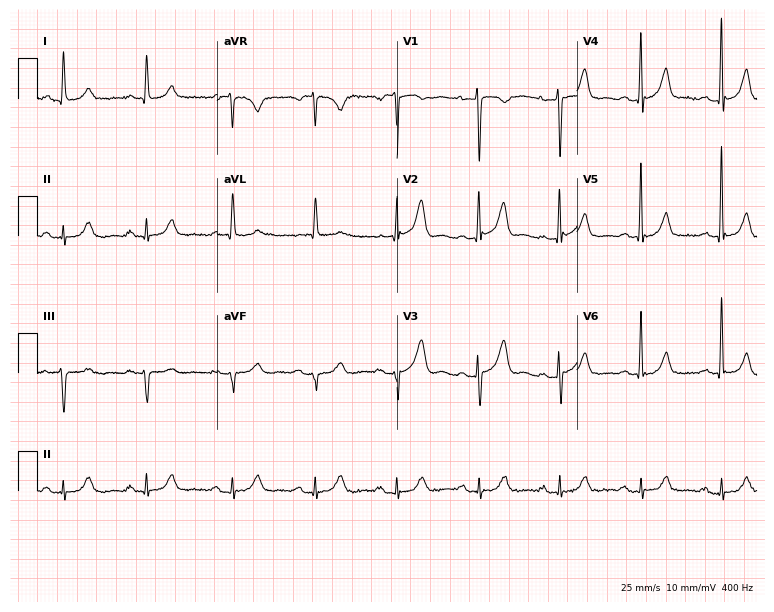
Electrocardiogram, a female, 80 years old. Overall reading on record: normal ECG.